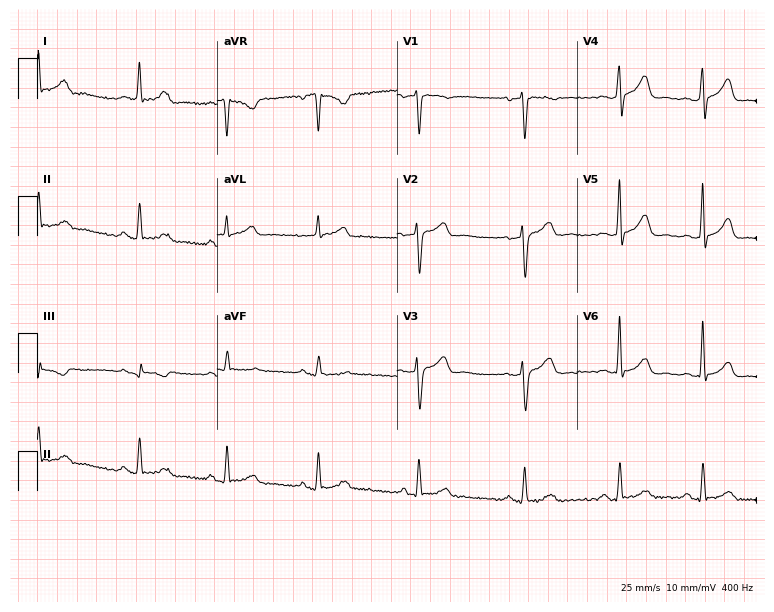
12-lead ECG (7.3-second recording at 400 Hz) from a 40-year-old female. Screened for six findings — first-degree AV block, right bundle branch block, left bundle branch block, sinus bradycardia, atrial fibrillation, sinus tachycardia — none is recorded.